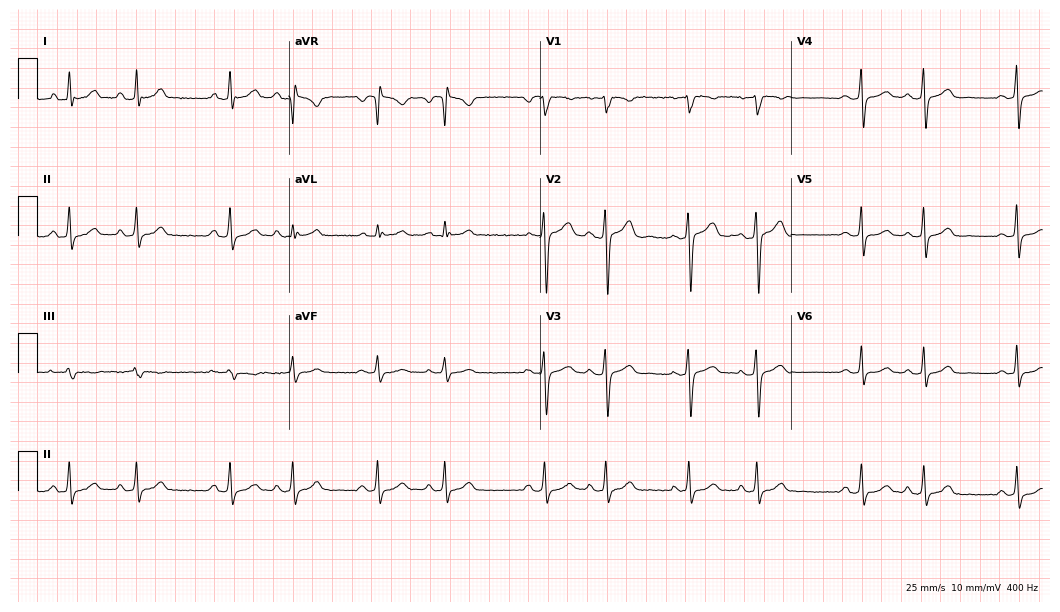
12-lead ECG from a woman, 22 years old (10.2-second recording at 400 Hz). No first-degree AV block, right bundle branch block (RBBB), left bundle branch block (LBBB), sinus bradycardia, atrial fibrillation (AF) or sinus tachycardia recorded for this tracing.